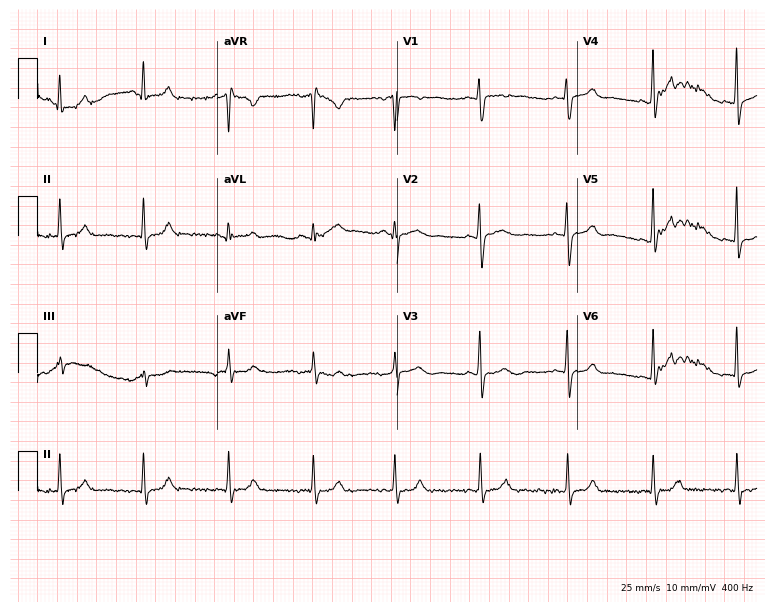
Standard 12-lead ECG recorded from a female patient, 31 years old (7.3-second recording at 400 Hz). Read as a normal ECG.